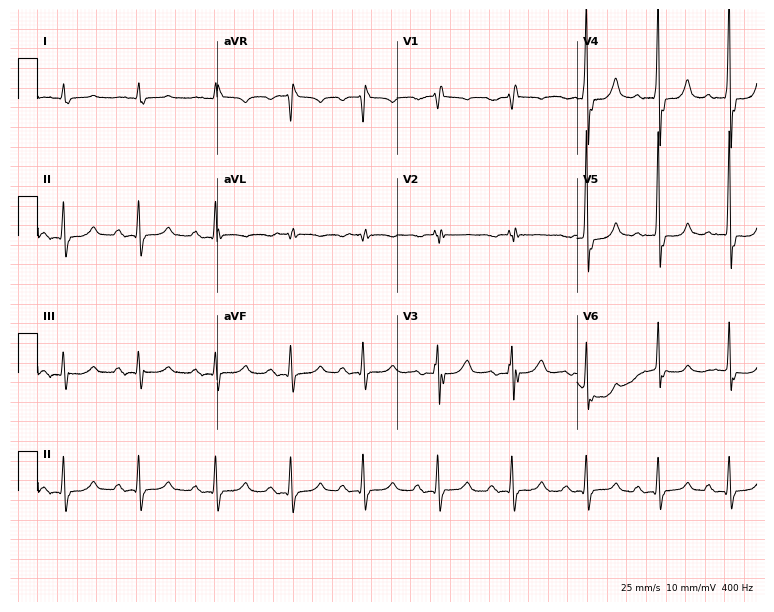
12-lead ECG from an 82-year-old male (7.3-second recording at 400 Hz). Shows right bundle branch block.